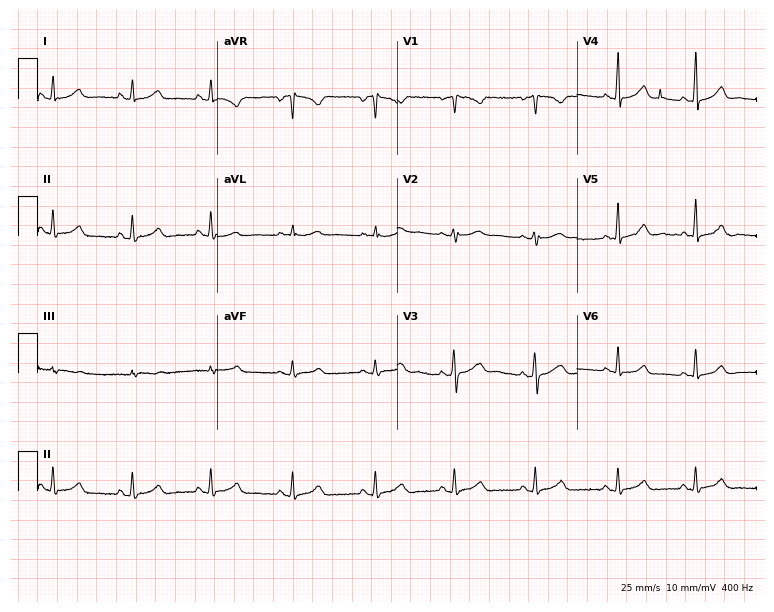
Resting 12-lead electrocardiogram (7.3-second recording at 400 Hz). Patient: a 37-year-old female. Read as a normal ECG.